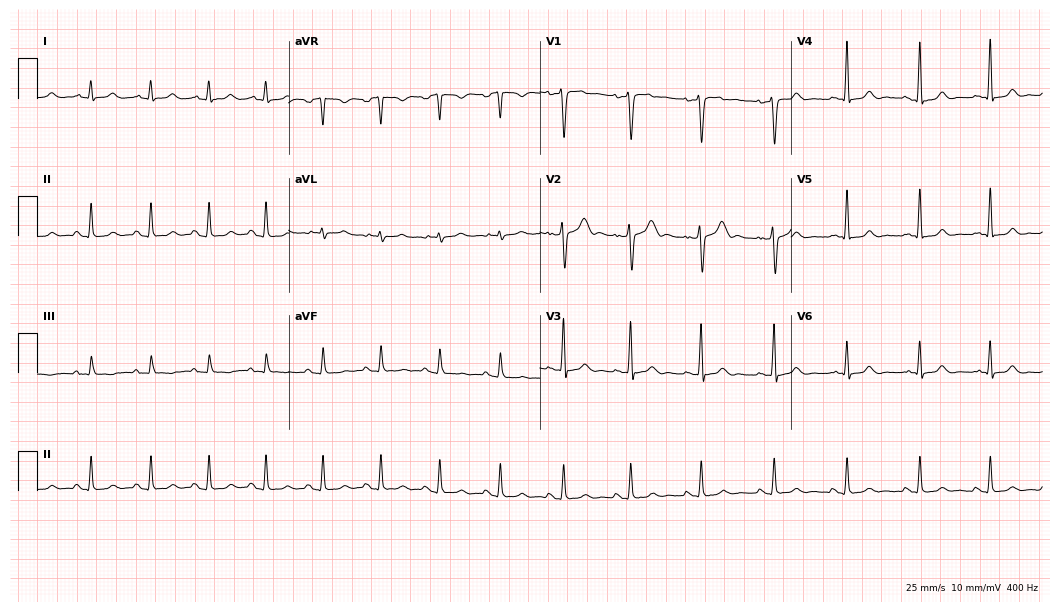
12-lead ECG from a 28-year-old male (10.2-second recording at 400 Hz). Recorded interpretation: within normal limits.